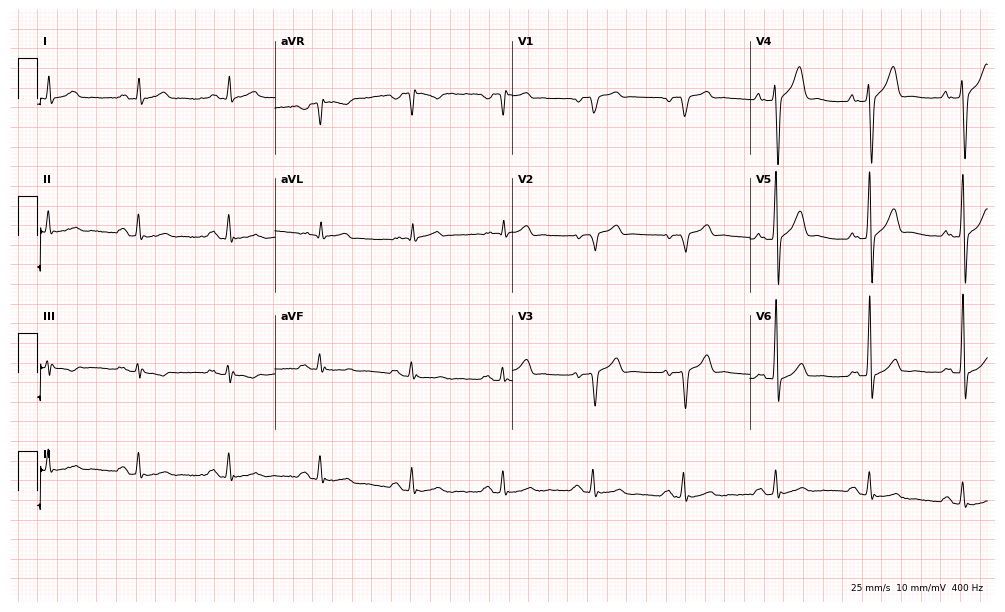
ECG (9.7-second recording at 400 Hz) — a man, 61 years old. Screened for six findings — first-degree AV block, right bundle branch block, left bundle branch block, sinus bradycardia, atrial fibrillation, sinus tachycardia — none is recorded.